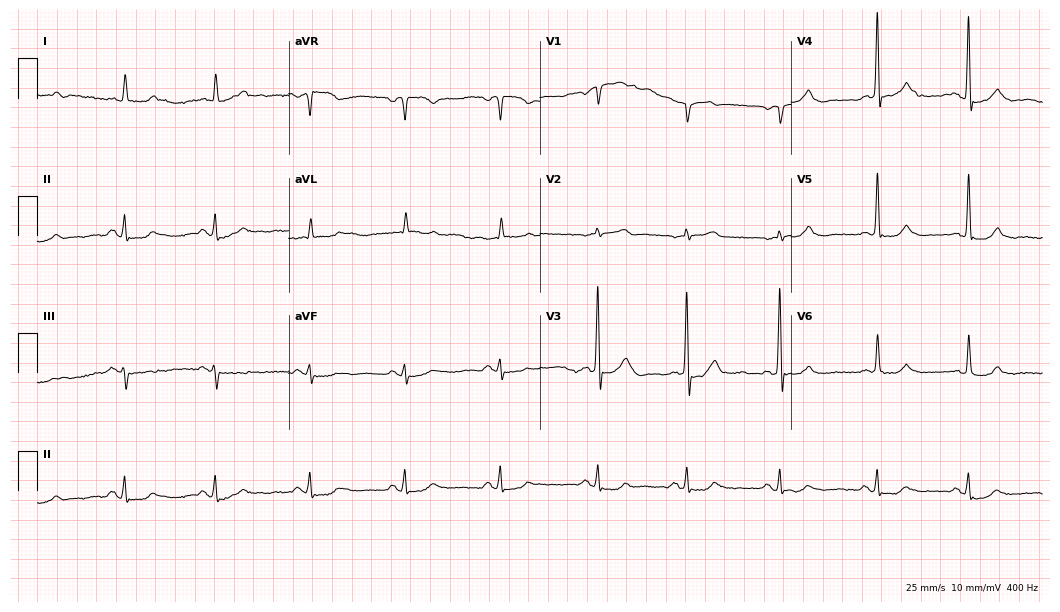
12-lead ECG from a man, 83 years old (10.2-second recording at 400 Hz). Recorded interpretation: within normal limits.